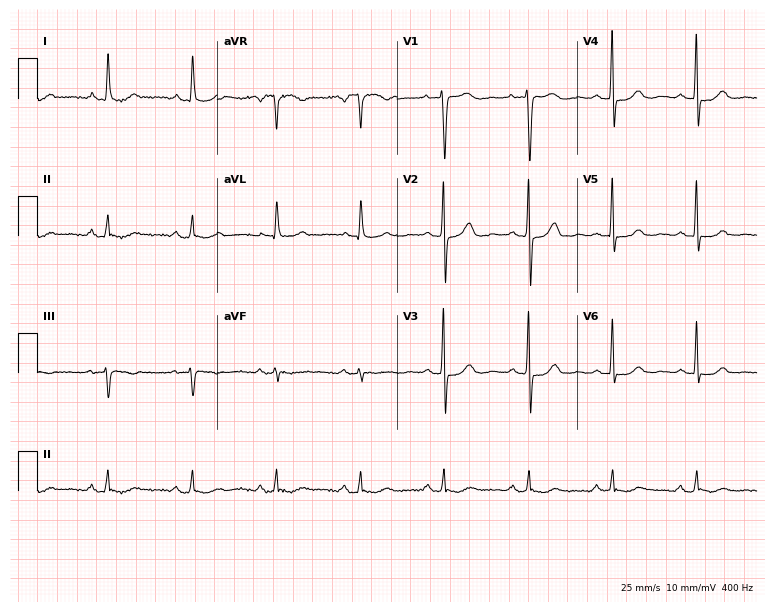
Resting 12-lead electrocardiogram. Patient: a 63-year-old female. None of these six findings is recorded: first-degree AV block, right bundle branch block, left bundle branch block, sinus bradycardia, atrial fibrillation, sinus tachycardia.